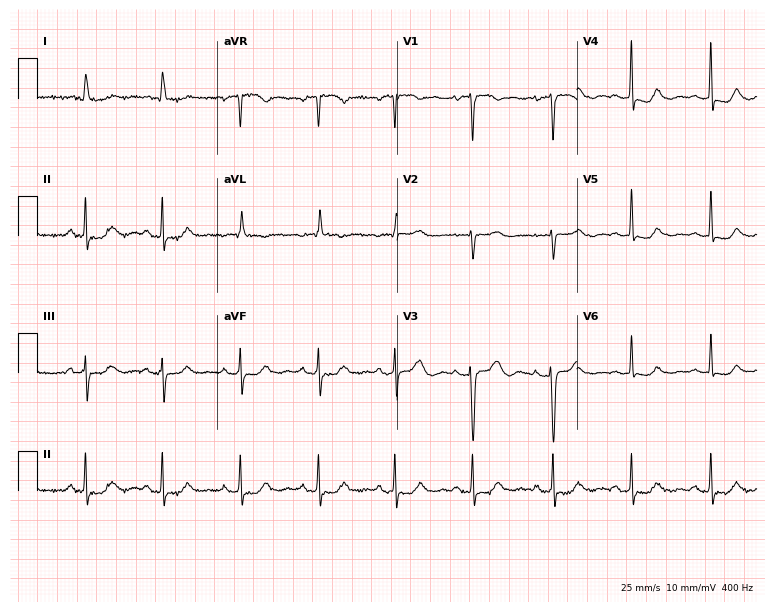
Electrocardiogram, a 77-year-old female. Of the six screened findings (first-degree AV block, right bundle branch block, left bundle branch block, sinus bradycardia, atrial fibrillation, sinus tachycardia), none is recorded. Only these six findings were labelled.